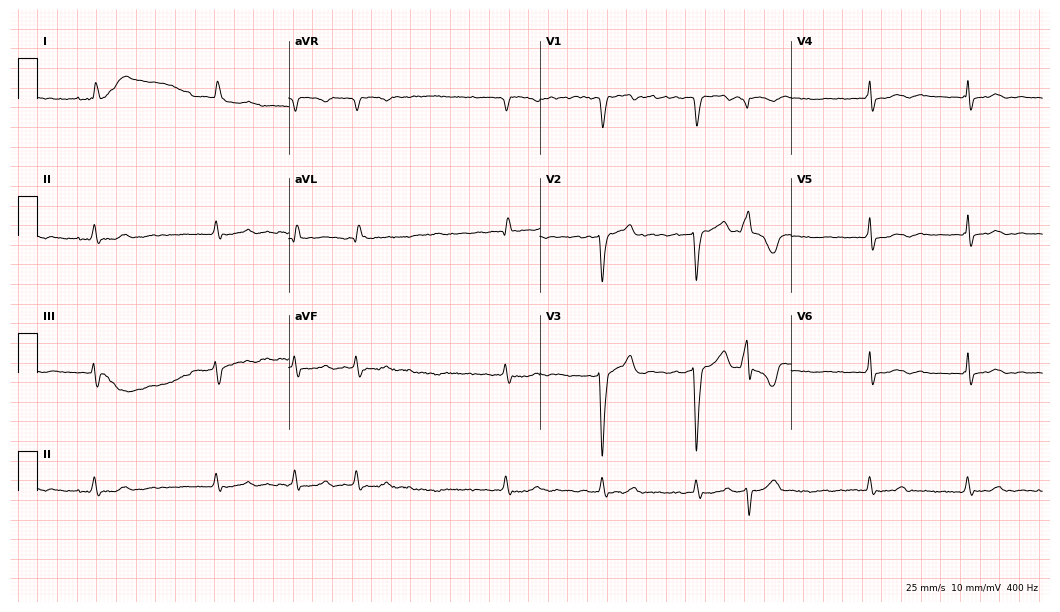
Electrocardiogram (10.2-second recording at 400 Hz), a male patient, 84 years old. Interpretation includes atrial fibrillation (AF).